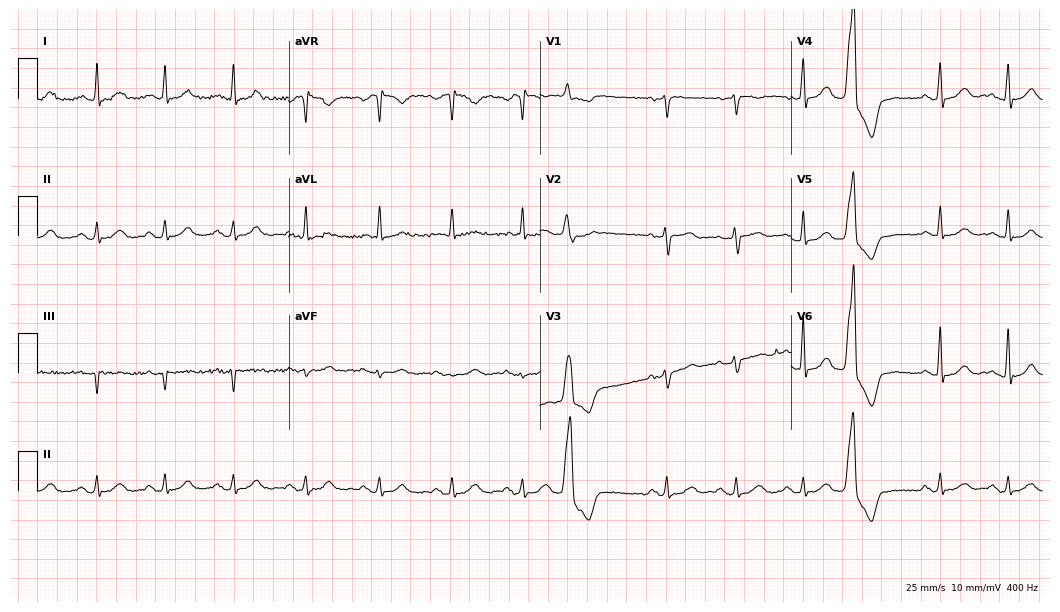
Resting 12-lead electrocardiogram. Patient: a 51-year-old female. None of these six findings is recorded: first-degree AV block, right bundle branch block, left bundle branch block, sinus bradycardia, atrial fibrillation, sinus tachycardia. Findings outside these six are not listed.